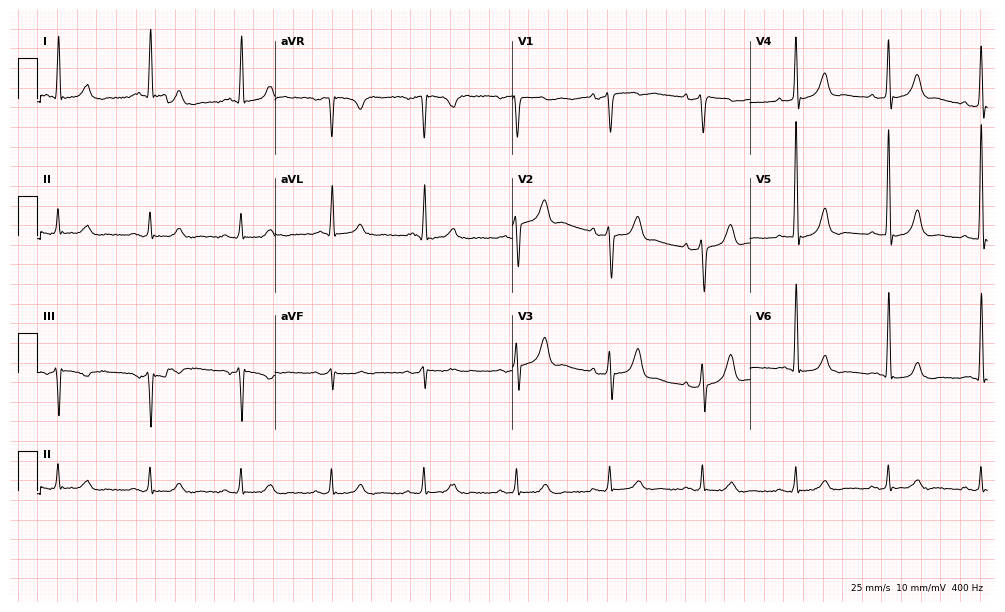
12-lead ECG from a female patient, 73 years old (9.7-second recording at 400 Hz). Recorded interpretation: within normal limits.